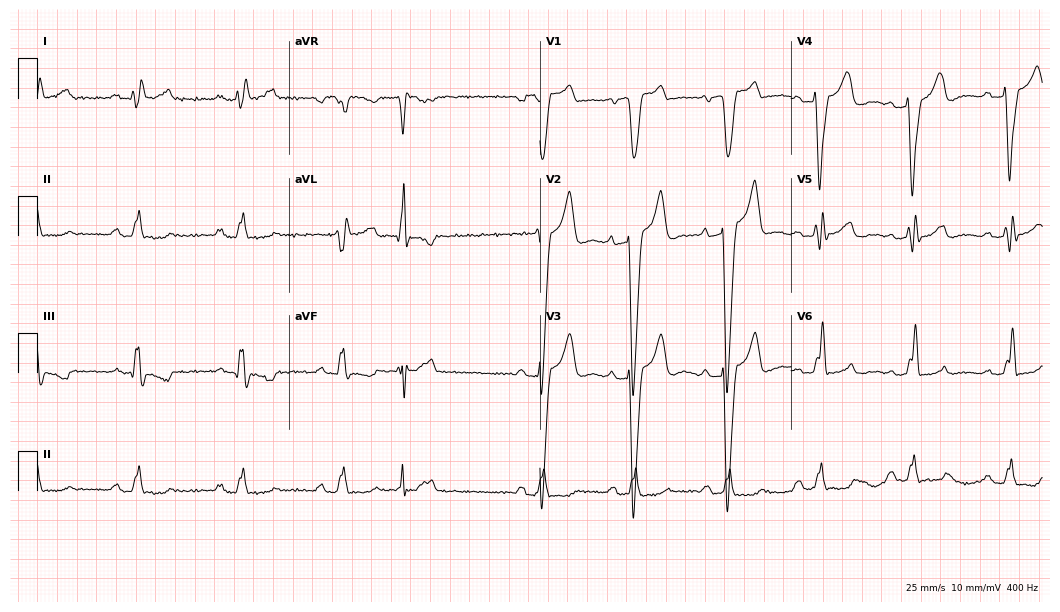
Resting 12-lead electrocardiogram (10.2-second recording at 400 Hz). Patient: a male, 57 years old. The tracing shows left bundle branch block.